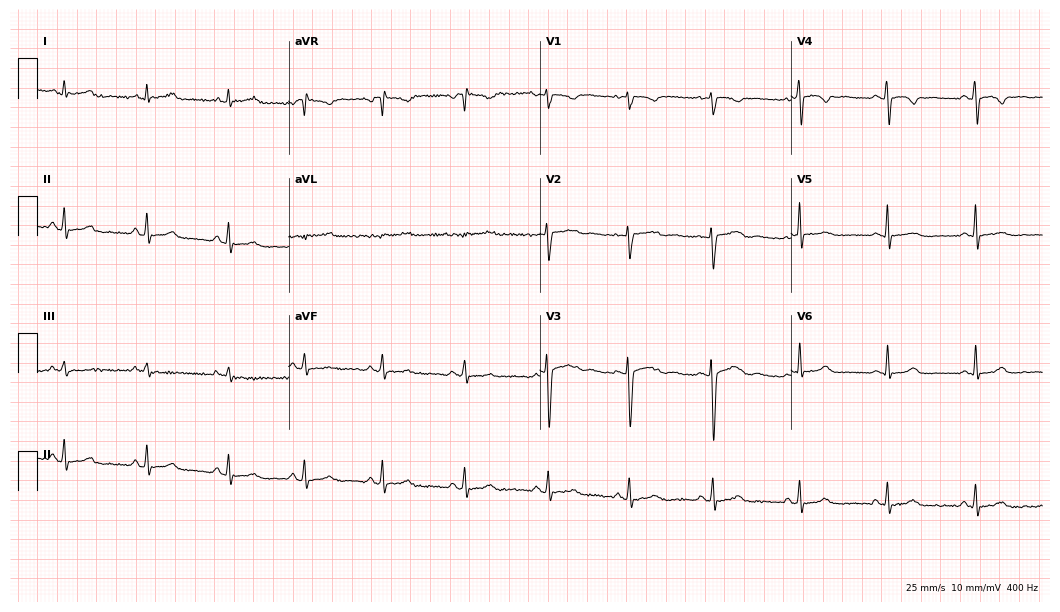
12-lead ECG from a 22-year-old female. No first-degree AV block, right bundle branch block, left bundle branch block, sinus bradycardia, atrial fibrillation or sinus tachycardia recorded for this tracing. Findings outside these six are not listed.